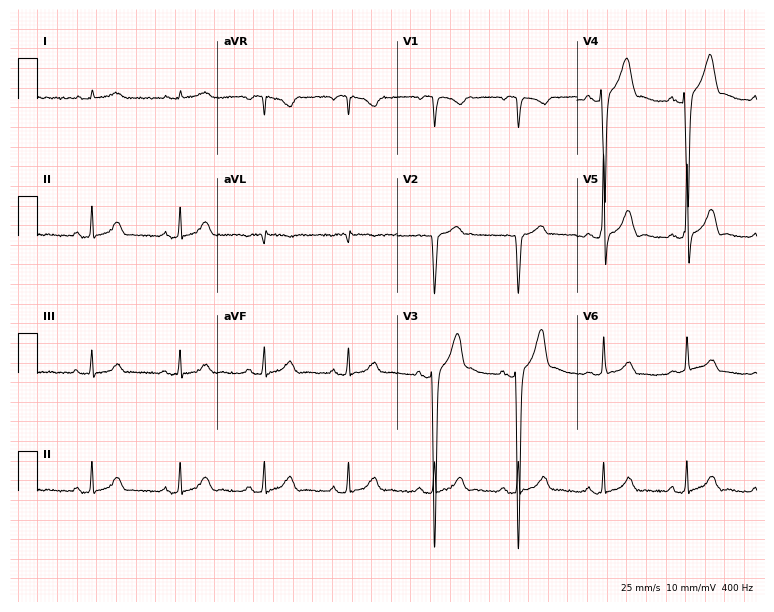
Resting 12-lead electrocardiogram (7.3-second recording at 400 Hz). Patient: a man, 53 years old. None of these six findings is recorded: first-degree AV block, right bundle branch block, left bundle branch block, sinus bradycardia, atrial fibrillation, sinus tachycardia.